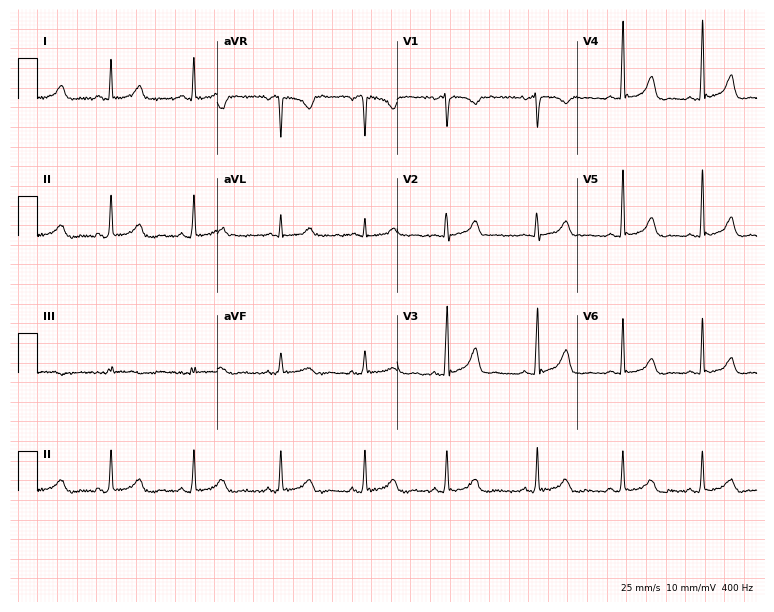
Electrocardiogram (7.3-second recording at 400 Hz), a 30-year-old female. Overall reading on record: normal ECG.